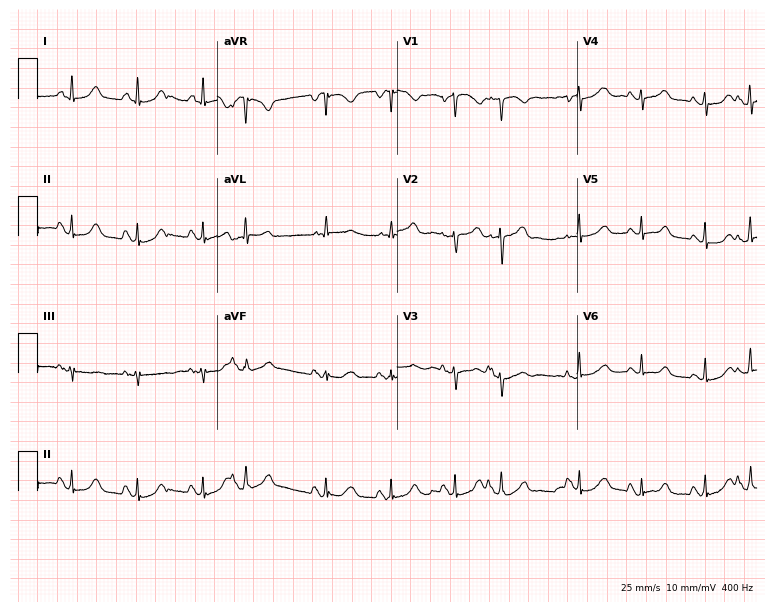
Standard 12-lead ECG recorded from a 66-year-old female (7.3-second recording at 400 Hz). None of these six findings is recorded: first-degree AV block, right bundle branch block (RBBB), left bundle branch block (LBBB), sinus bradycardia, atrial fibrillation (AF), sinus tachycardia.